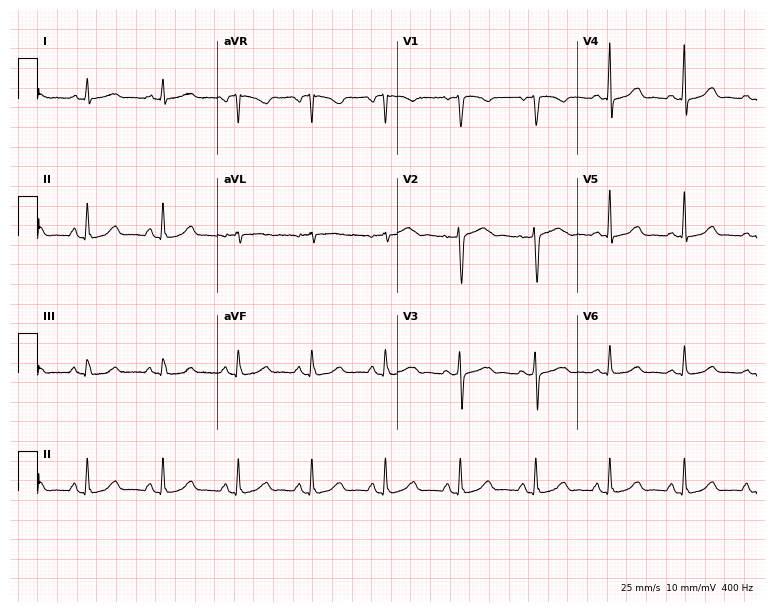
Resting 12-lead electrocardiogram. Patient: a 52-year-old woman. Read as a normal ECG.